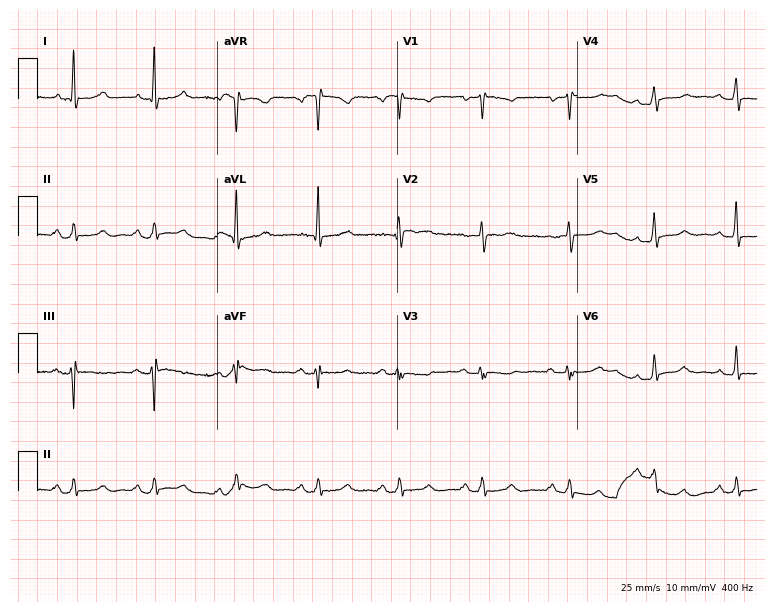
Resting 12-lead electrocardiogram (7.3-second recording at 400 Hz). Patient: a female, 71 years old. None of these six findings is recorded: first-degree AV block, right bundle branch block, left bundle branch block, sinus bradycardia, atrial fibrillation, sinus tachycardia.